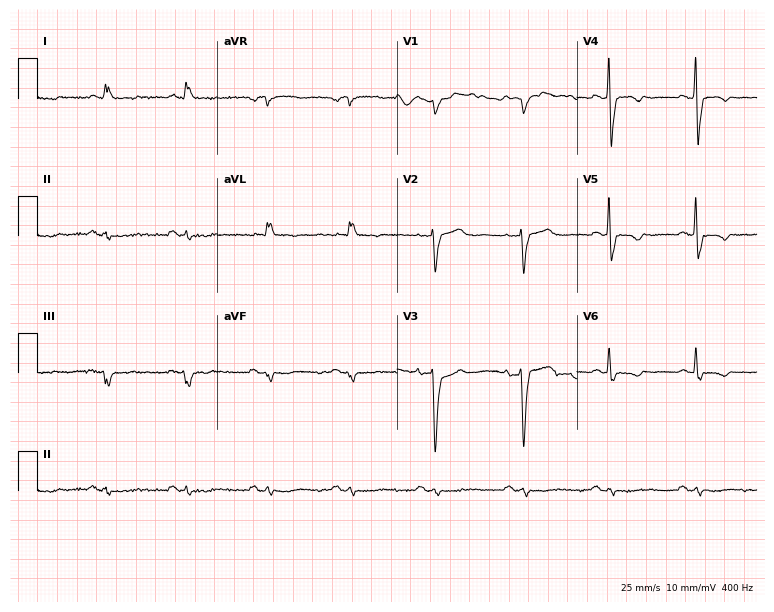
Electrocardiogram (7.3-second recording at 400 Hz), a woman, 78 years old. Of the six screened findings (first-degree AV block, right bundle branch block (RBBB), left bundle branch block (LBBB), sinus bradycardia, atrial fibrillation (AF), sinus tachycardia), none is recorded.